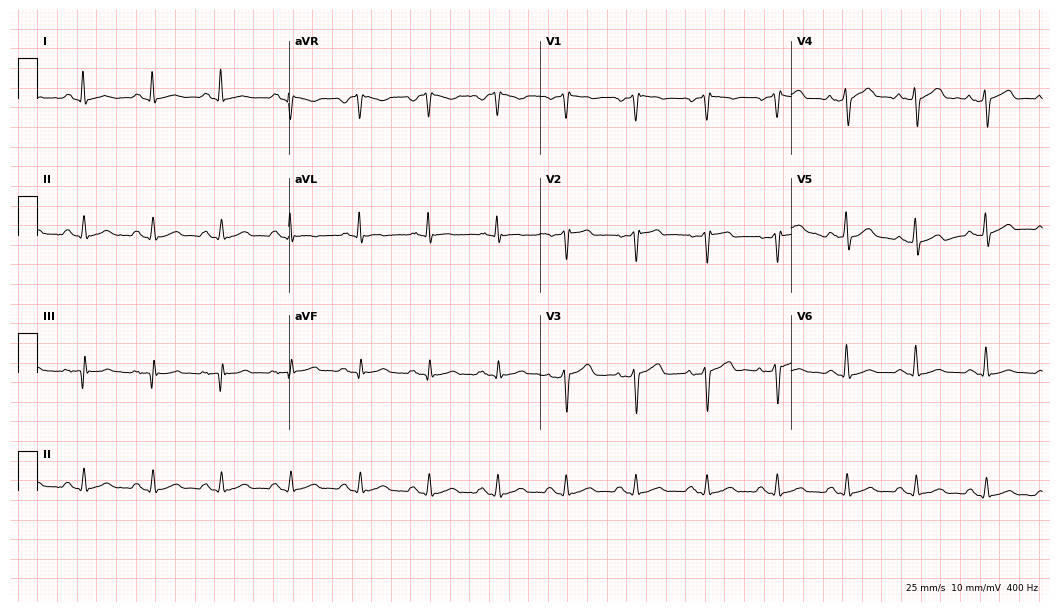
ECG (10.2-second recording at 400 Hz) — a 59-year-old male. Screened for six findings — first-degree AV block, right bundle branch block, left bundle branch block, sinus bradycardia, atrial fibrillation, sinus tachycardia — none is recorded.